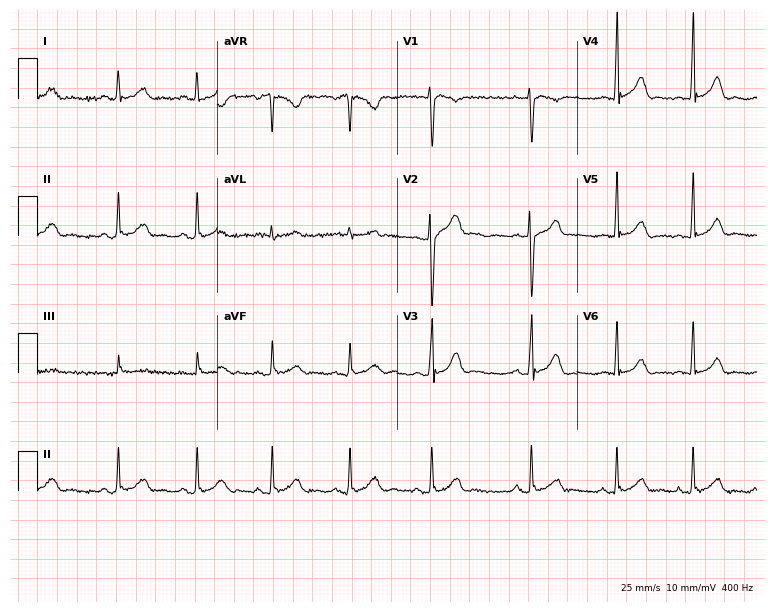
12-lead ECG from a 22-year-old female. Recorded interpretation: within normal limits.